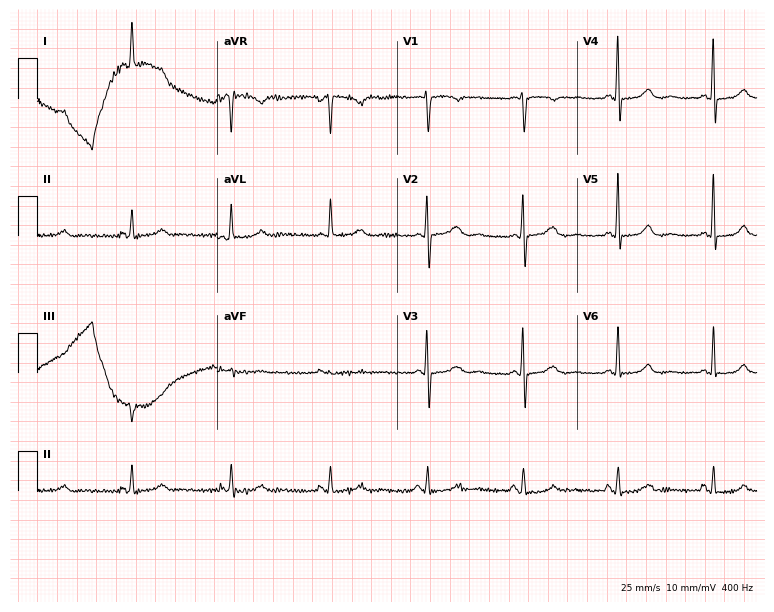
12-lead ECG from a female, 71 years old. Recorded interpretation: within normal limits.